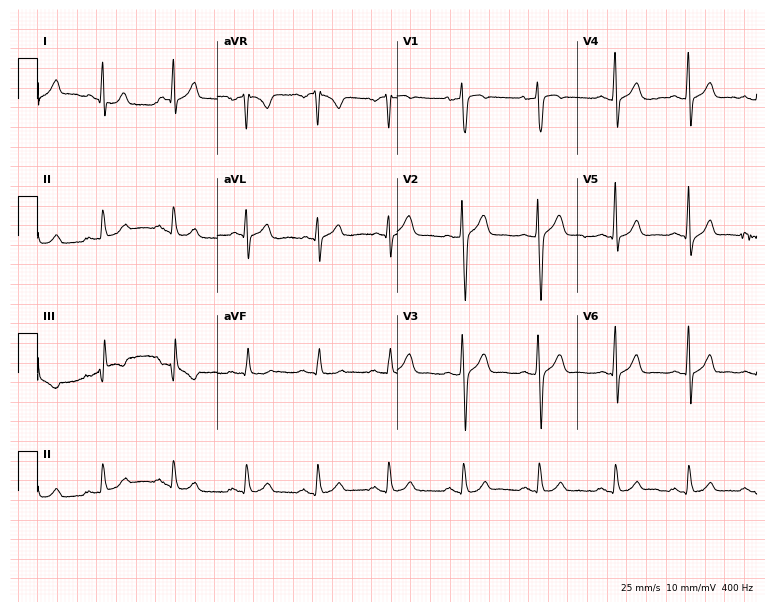
12-lead ECG from a 36-year-old man (7.3-second recording at 400 Hz). Recorded interpretation: within normal limits.